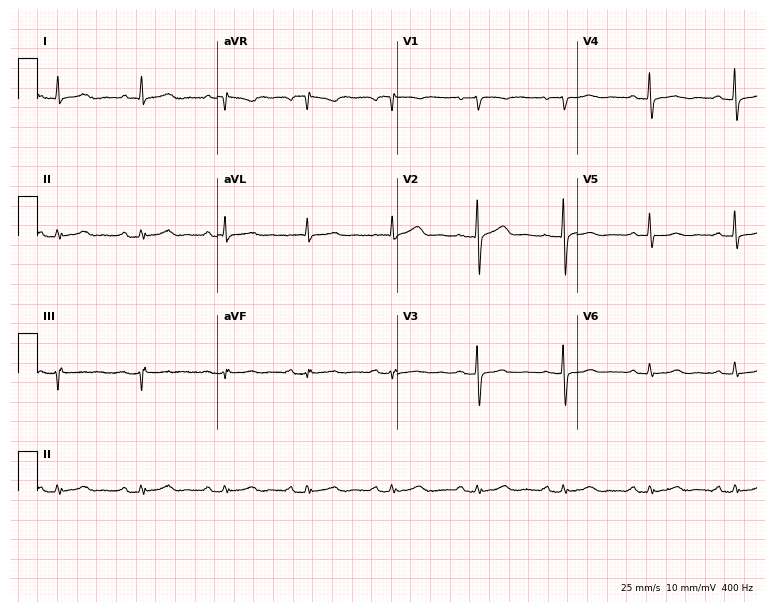
12-lead ECG from a 56-year-old female. No first-degree AV block, right bundle branch block, left bundle branch block, sinus bradycardia, atrial fibrillation or sinus tachycardia recorded for this tracing. Other findings, if any, are not listed.